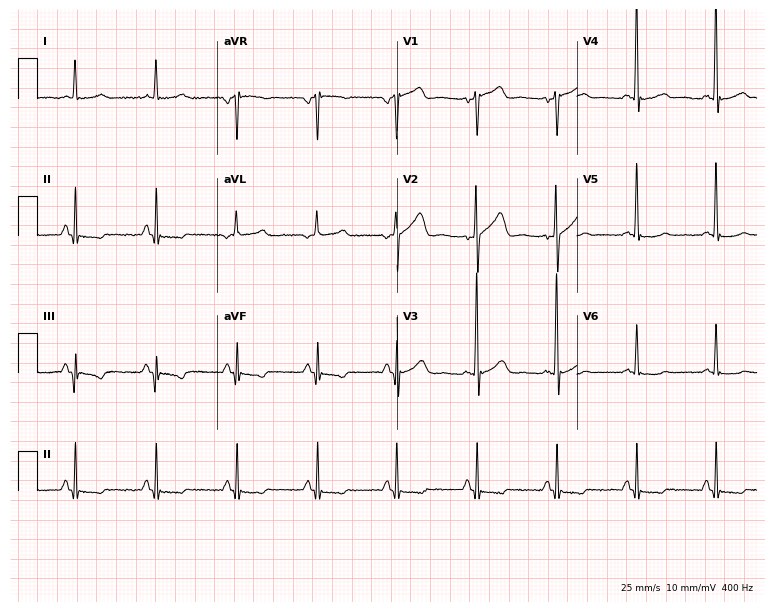
12-lead ECG from a male, 54 years old. No first-degree AV block, right bundle branch block (RBBB), left bundle branch block (LBBB), sinus bradycardia, atrial fibrillation (AF) or sinus tachycardia recorded for this tracing. Other findings, if any, are not listed.